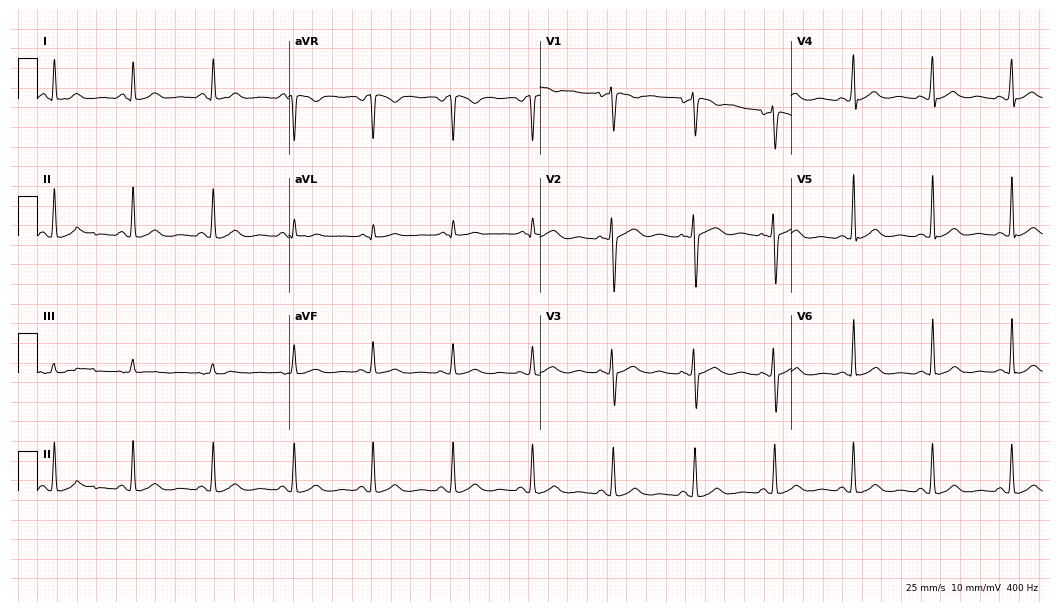
Resting 12-lead electrocardiogram (10.2-second recording at 400 Hz). Patient: a female, 33 years old. Read as a normal ECG.